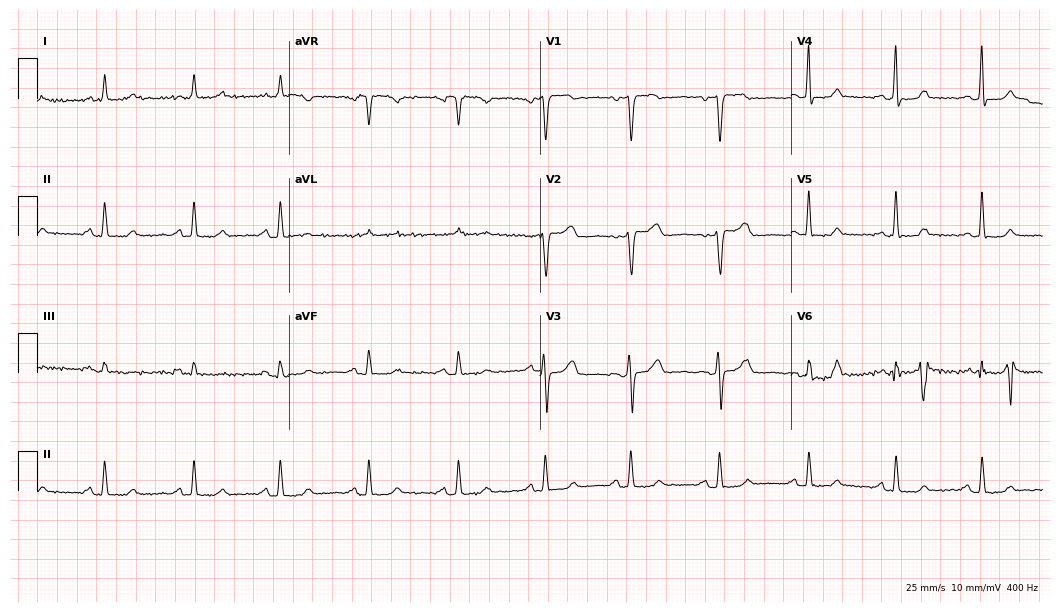
Resting 12-lead electrocardiogram. Patient: a 65-year-old woman. Read as a normal ECG.